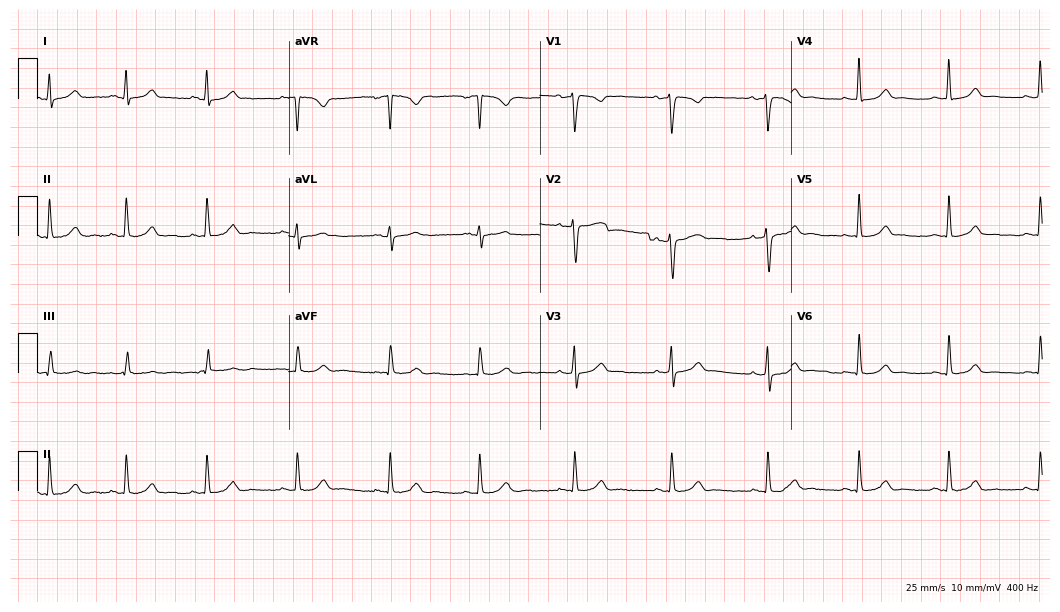
Electrocardiogram (10.2-second recording at 400 Hz), a female, 28 years old. Overall reading on record: normal ECG.